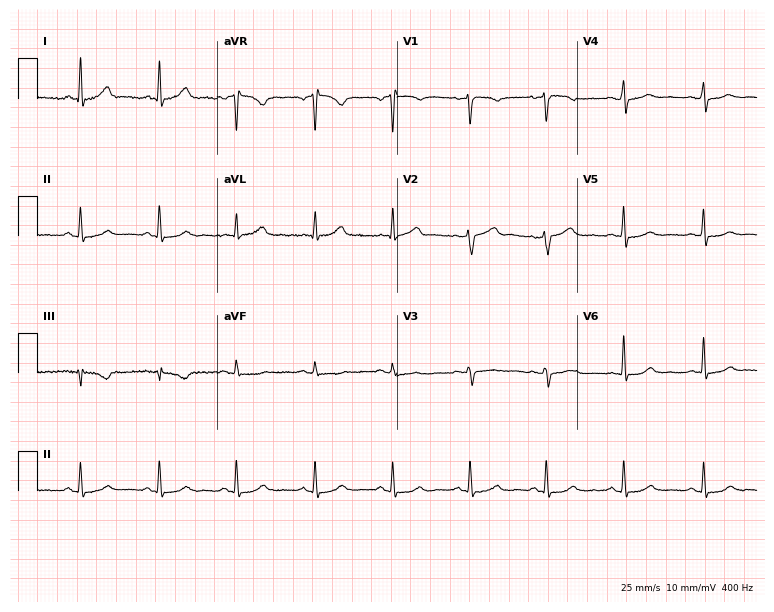
12-lead ECG from a 63-year-old female. Recorded interpretation: within normal limits.